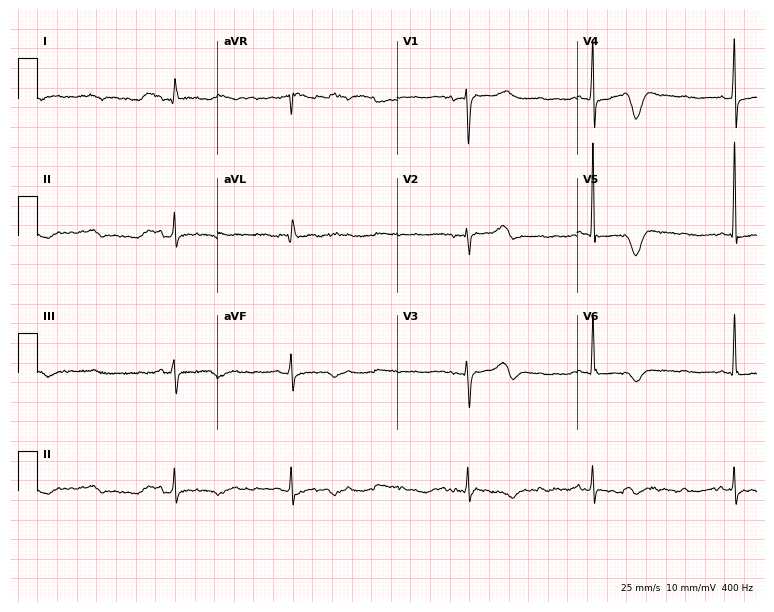
Resting 12-lead electrocardiogram. Patient: a 71-year-old woman. The tracing shows sinus bradycardia (a sinus rate of 50 beats per minute or less).